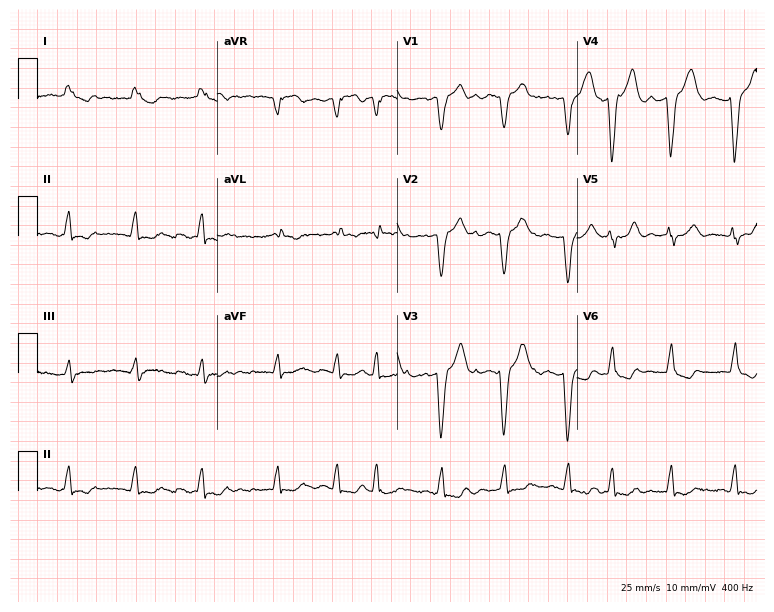
Standard 12-lead ECG recorded from a female, 73 years old. The tracing shows left bundle branch block, atrial fibrillation.